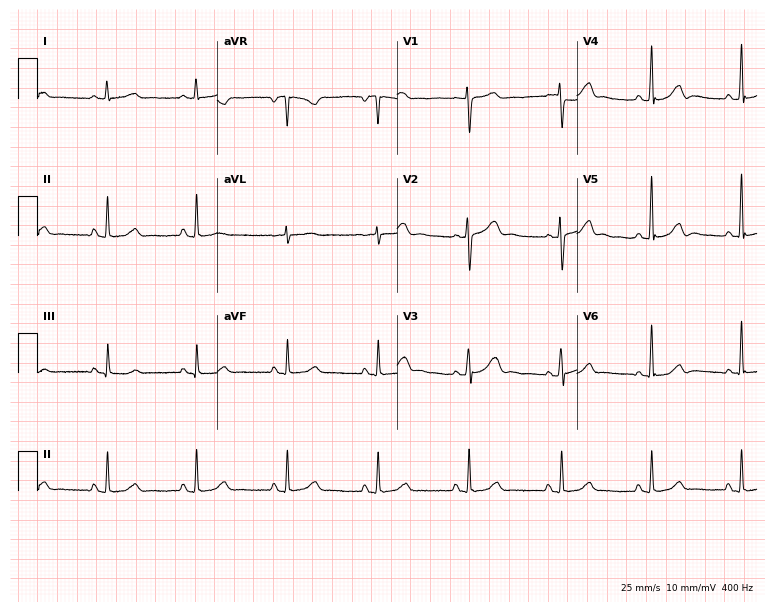
12-lead ECG from a 47-year-old female (7.3-second recording at 400 Hz). Recorded interpretation: within normal limits.